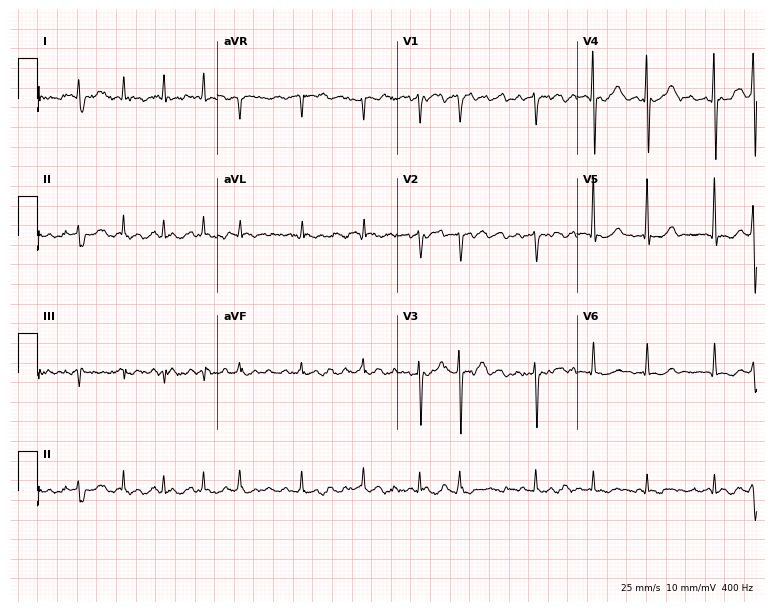
12-lead ECG (7.3-second recording at 400 Hz) from a man, 59 years old. Screened for six findings — first-degree AV block, right bundle branch block, left bundle branch block, sinus bradycardia, atrial fibrillation, sinus tachycardia — none is recorded.